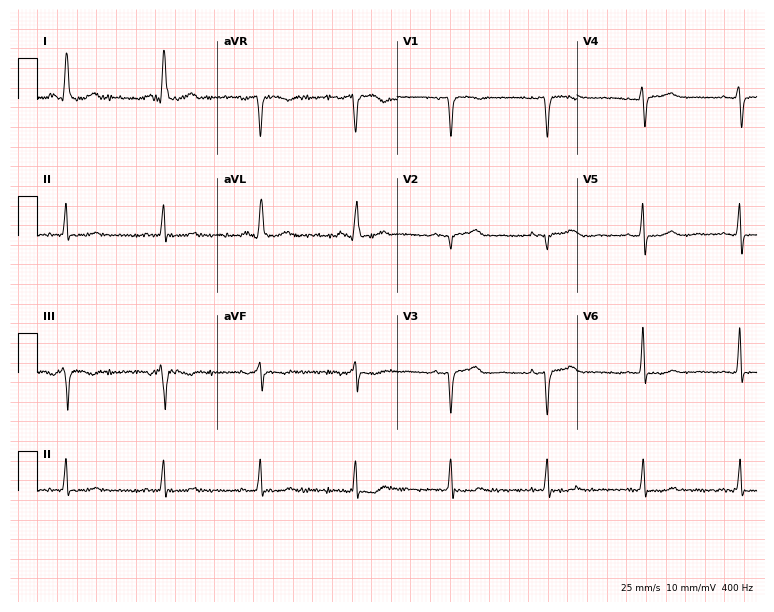
Standard 12-lead ECG recorded from a 55-year-old woman. None of these six findings is recorded: first-degree AV block, right bundle branch block, left bundle branch block, sinus bradycardia, atrial fibrillation, sinus tachycardia.